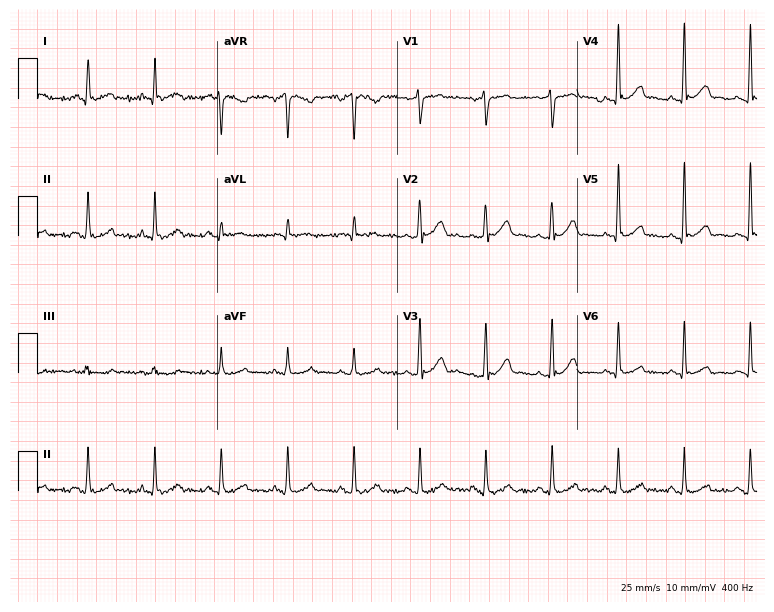
ECG (7.3-second recording at 400 Hz) — a male, 62 years old. Labelled as a normal ECG.